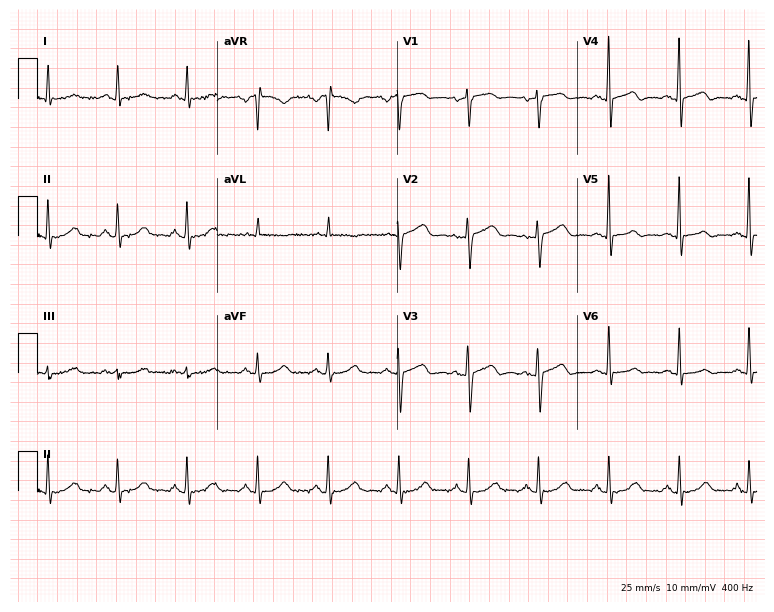
12-lead ECG (7.3-second recording at 400 Hz) from a woman, 67 years old. Labelled as a normal ECG.